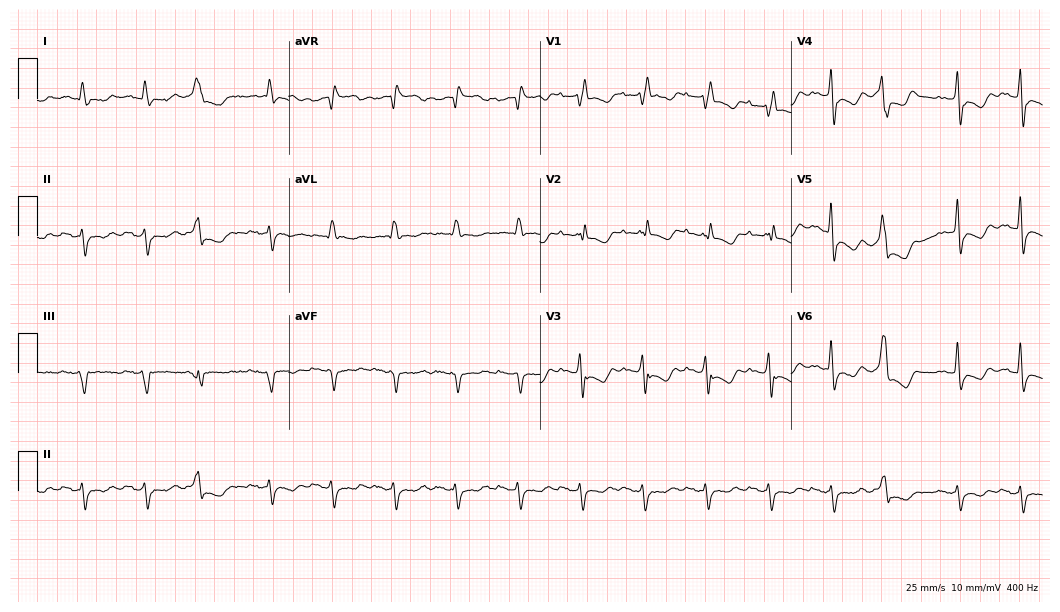
Standard 12-lead ECG recorded from a 76-year-old female. None of these six findings is recorded: first-degree AV block, right bundle branch block, left bundle branch block, sinus bradycardia, atrial fibrillation, sinus tachycardia. Only these six findings were labelled.